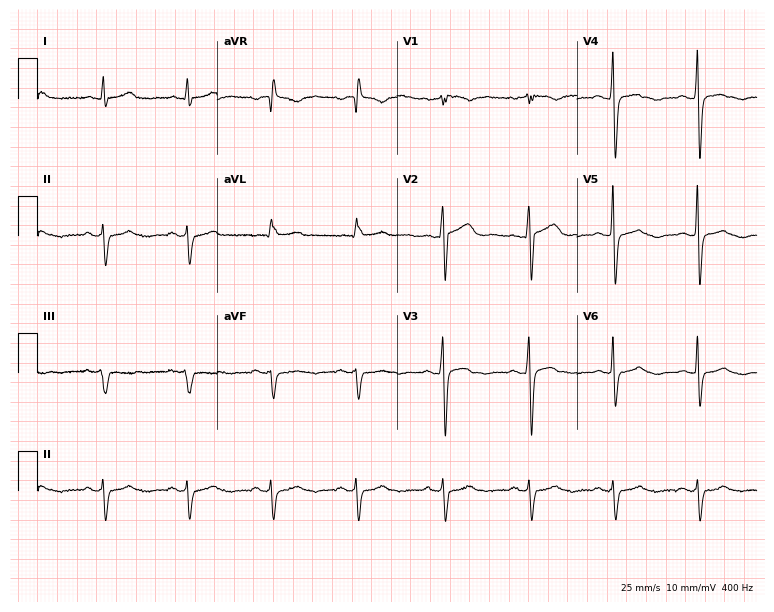
Electrocardiogram (7.3-second recording at 400 Hz), a 50-year-old female. Of the six screened findings (first-degree AV block, right bundle branch block (RBBB), left bundle branch block (LBBB), sinus bradycardia, atrial fibrillation (AF), sinus tachycardia), none is recorded.